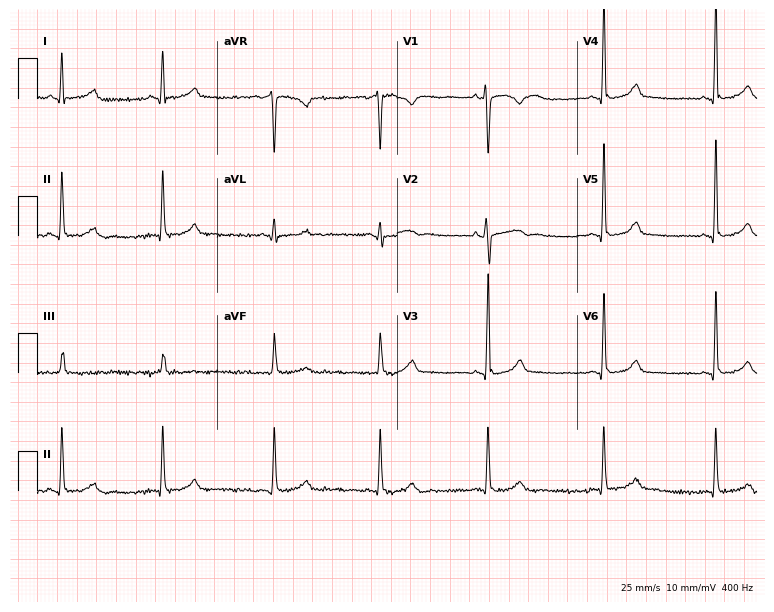
Electrocardiogram (7.3-second recording at 400 Hz), a female, 33 years old. Overall reading on record: normal ECG.